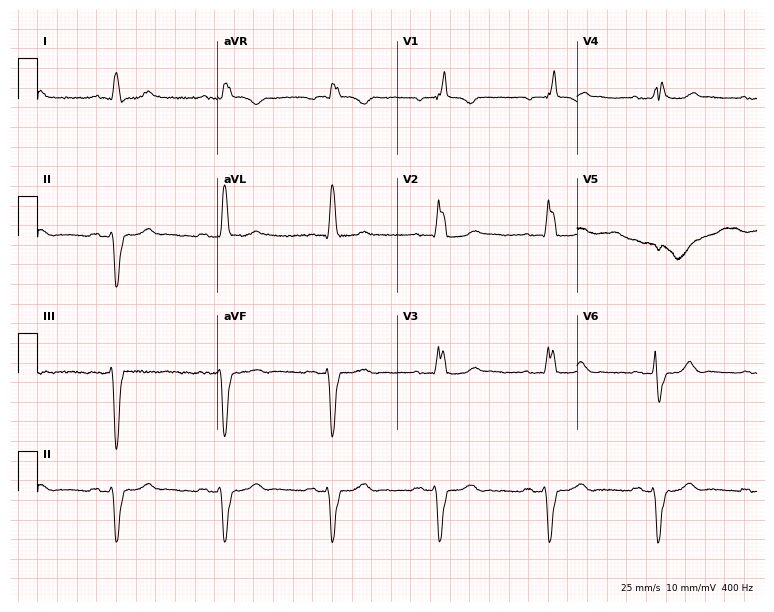
Electrocardiogram, a 70-year-old male. Interpretation includes right bundle branch block.